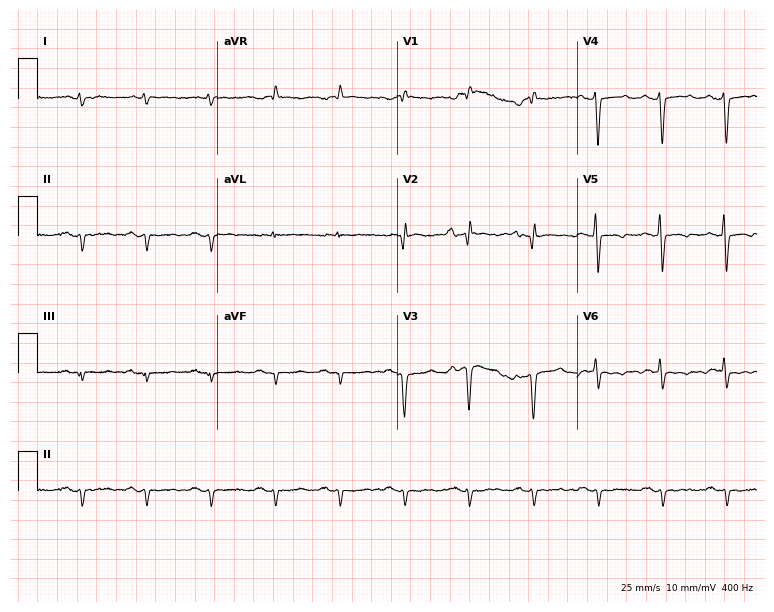
Standard 12-lead ECG recorded from a 39-year-old male. None of these six findings is recorded: first-degree AV block, right bundle branch block, left bundle branch block, sinus bradycardia, atrial fibrillation, sinus tachycardia.